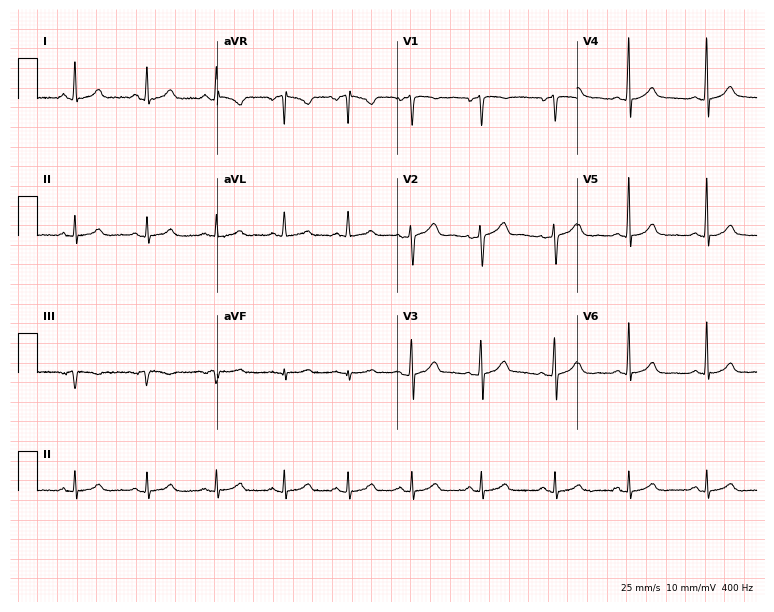
Resting 12-lead electrocardiogram (7.3-second recording at 400 Hz). Patient: a man, 46 years old. Read as a normal ECG.